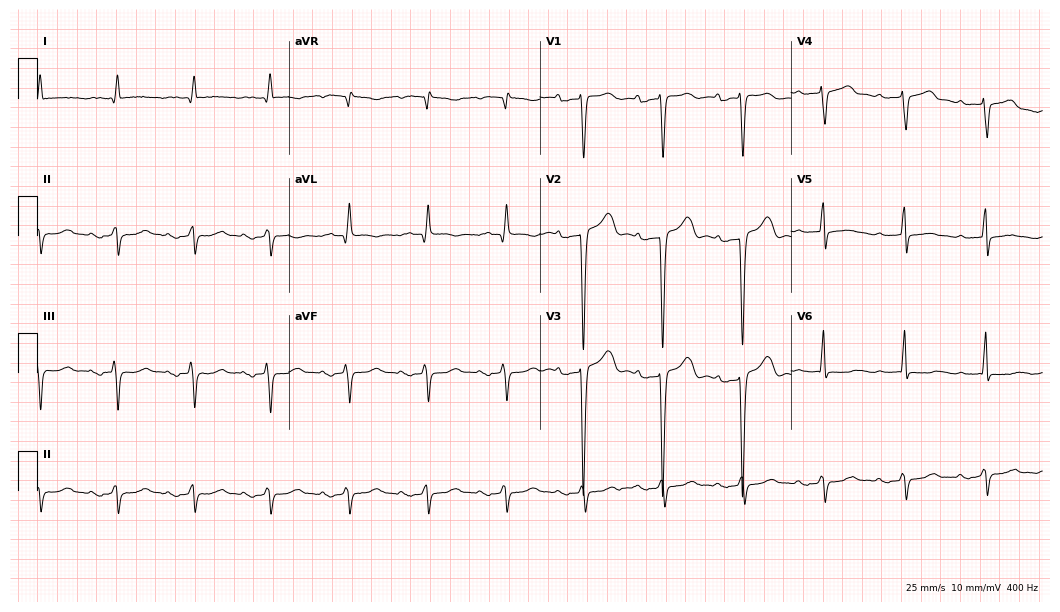
12-lead ECG from an 84-year-old female patient (10.2-second recording at 400 Hz). Shows first-degree AV block.